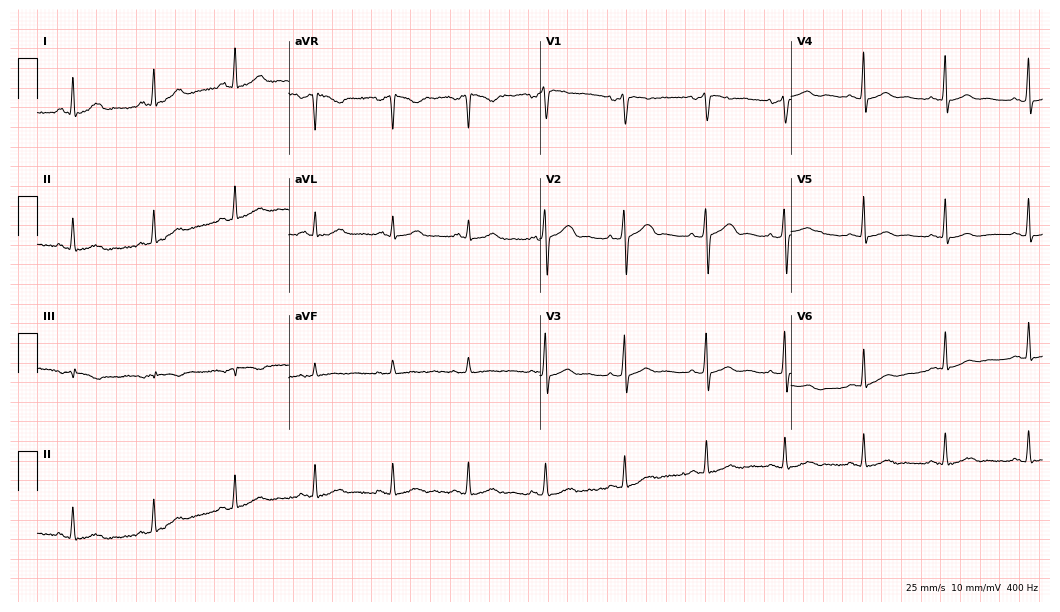
Standard 12-lead ECG recorded from a 39-year-old female patient (10.2-second recording at 400 Hz). Read as a normal ECG.